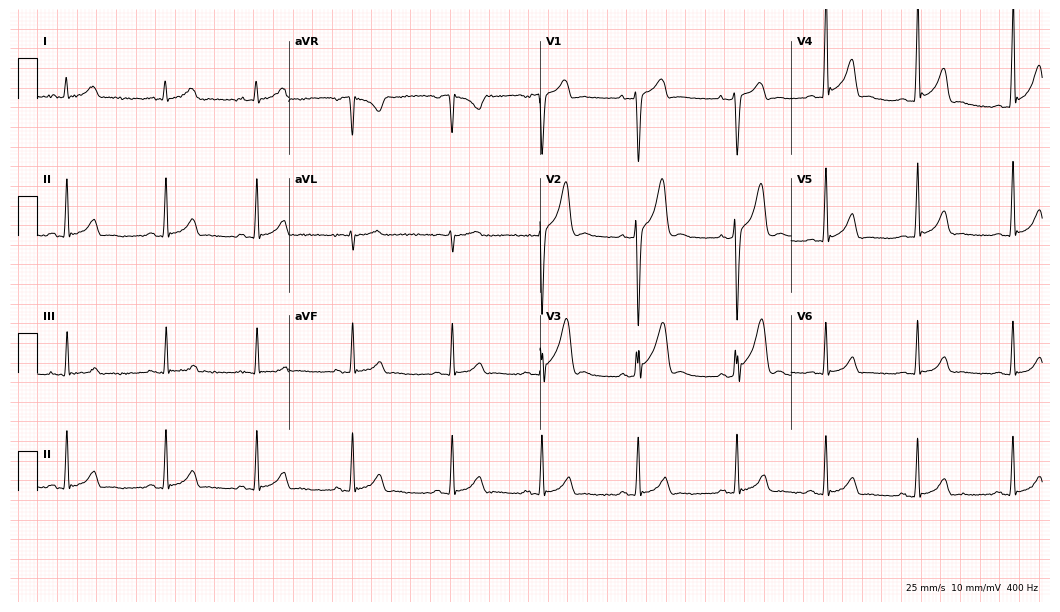
12-lead ECG from a male, 19 years old (10.2-second recording at 400 Hz). No first-degree AV block, right bundle branch block (RBBB), left bundle branch block (LBBB), sinus bradycardia, atrial fibrillation (AF) or sinus tachycardia recorded for this tracing.